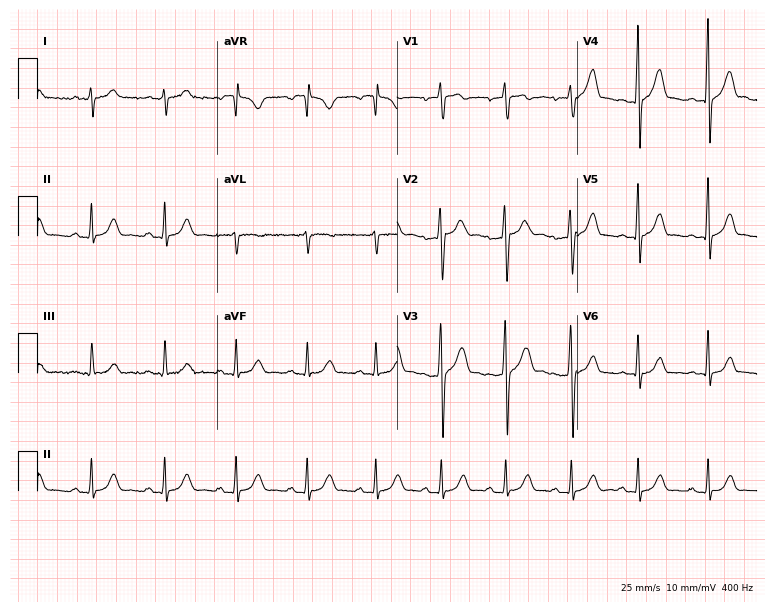
12-lead ECG (7.3-second recording at 400 Hz) from a 30-year-old male patient. Screened for six findings — first-degree AV block, right bundle branch block (RBBB), left bundle branch block (LBBB), sinus bradycardia, atrial fibrillation (AF), sinus tachycardia — none is recorded. Other findings, if any, are not listed.